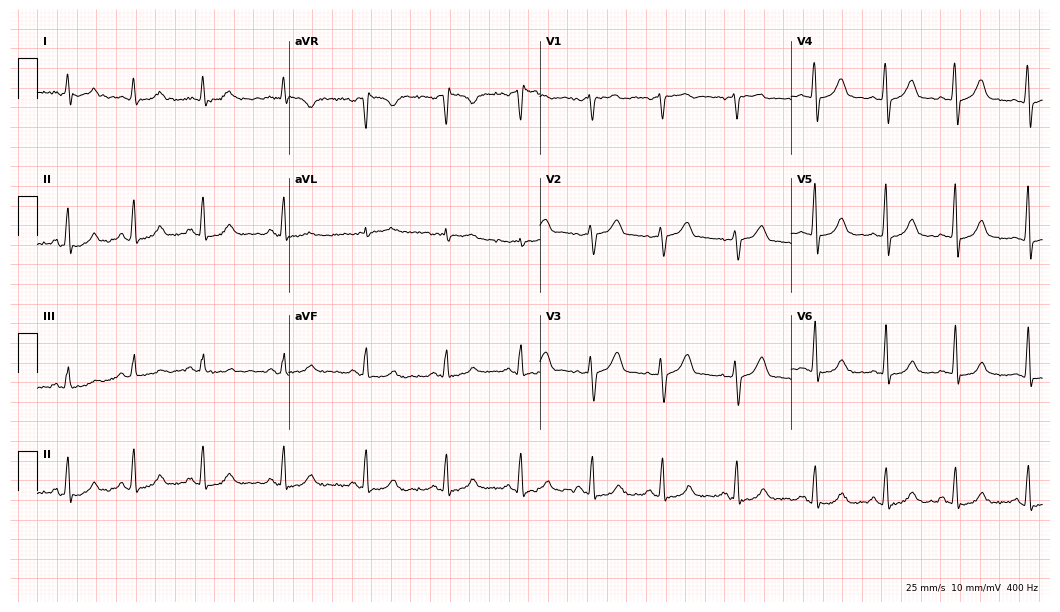
Electrocardiogram (10.2-second recording at 400 Hz), a 48-year-old female. Overall reading on record: normal ECG.